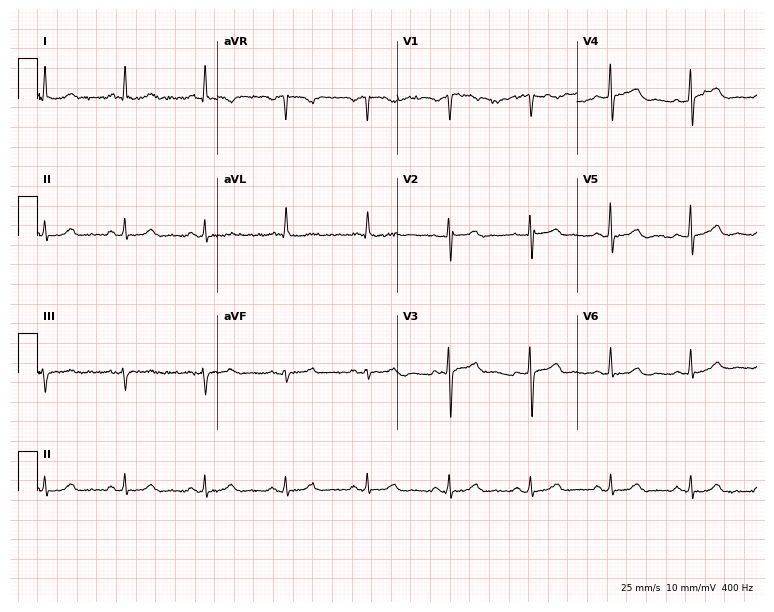
Electrocardiogram, a male patient, 79 years old. Overall reading on record: normal ECG.